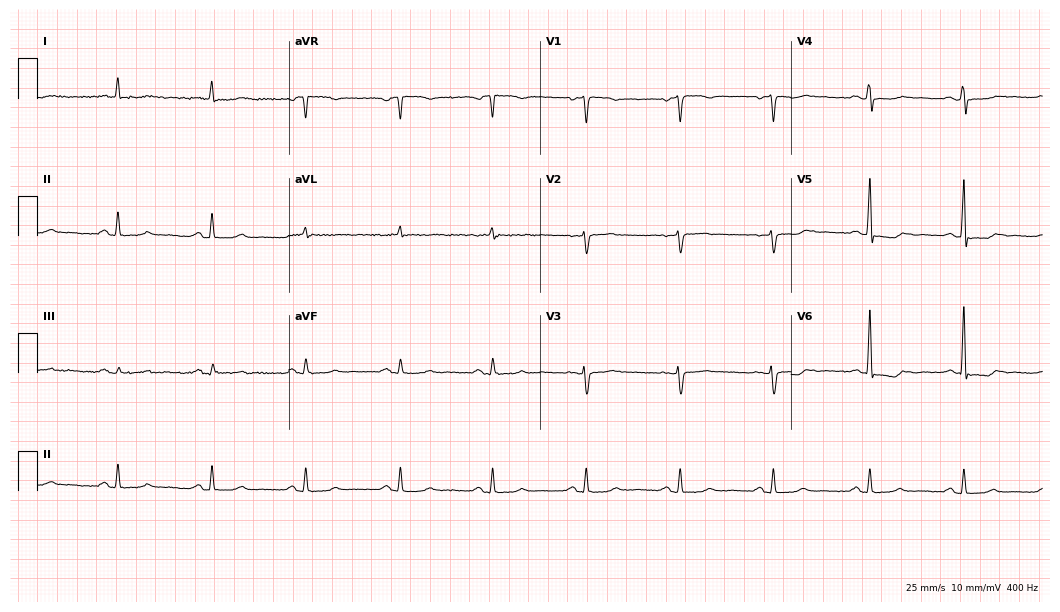
Electrocardiogram, a female, 56 years old. Of the six screened findings (first-degree AV block, right bundle branch block (RBBB), left bundle branch block (LBBB), sinus bradycardia, atrial fibrillation (AF), sinus tachycardia), none is recorded. Only these six findings were labelled.